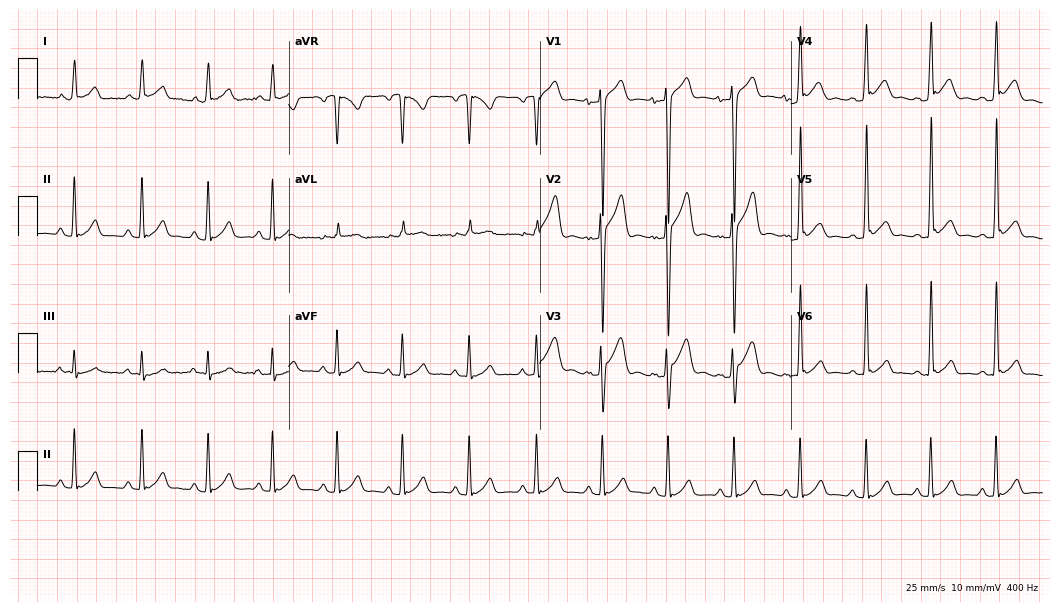
ECG — a 19-year-old male. Screened for six findings — first-degree AV block, right bundle branch block (RBBB), left bundle branch block (LBBB), sinus bradycardia, atrial fibrillation (AF), sinus tachycardia — none is recorded.